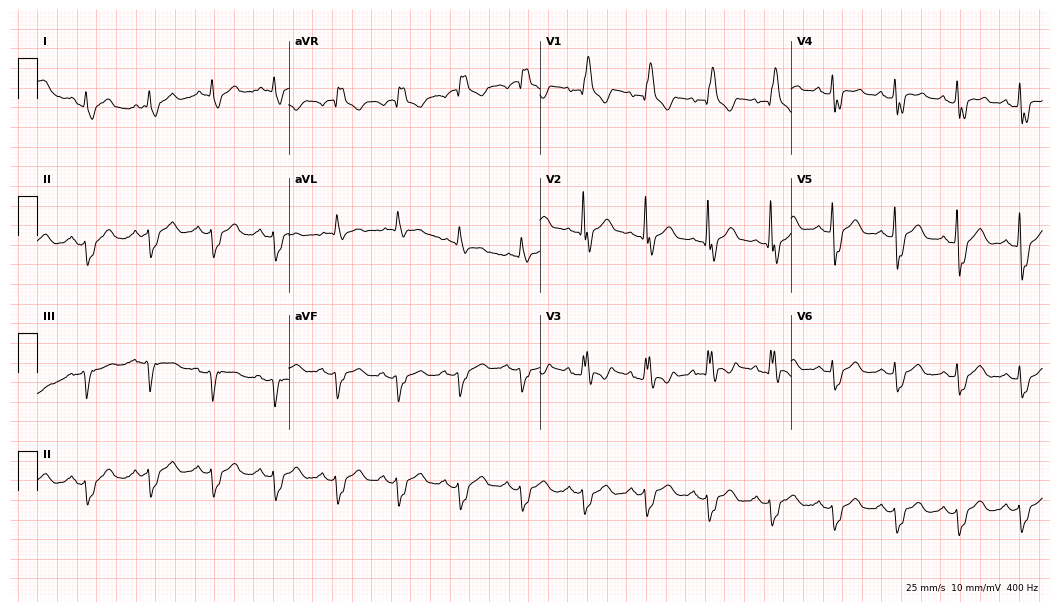
Standard 12-lead ECG recorded from a male, 73 years old (10.2-second recording at 400 Hz). The tracing shows right bundle branch block.